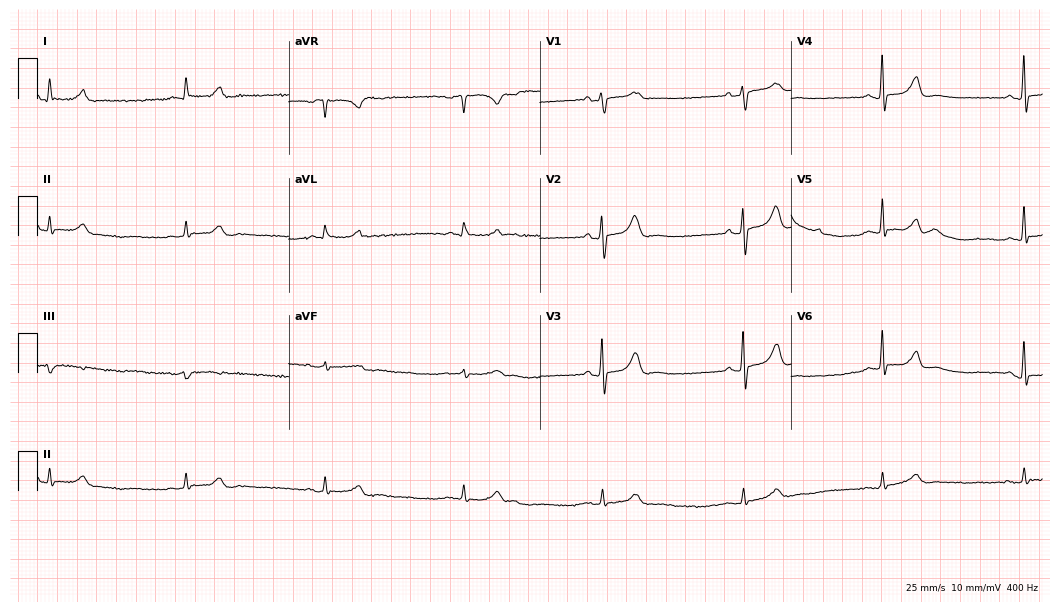
ECG (10.2-second recording at 400 Hz) — a female patient, 70 years old. Findings include sinus bradycardia (a sinus rate of 50 beats per minute or less).